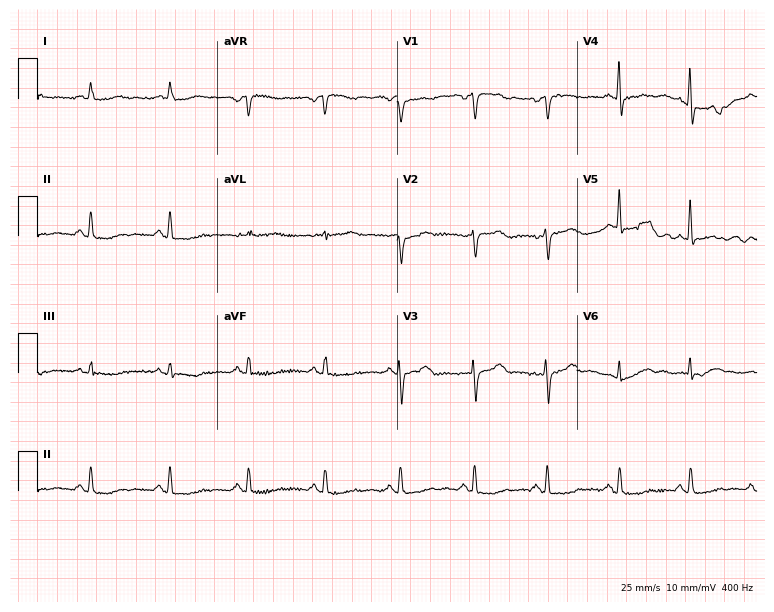
ECG — a 70-year-old woman. Screened for six findings — first-degree AV block, right bundle branch block (RBBB), left bundle branch block (LBBB), sinus bradycardia, atrial fibrillation (AF), sinus tachycardia — none is recorded. Only these six findings were labelled.